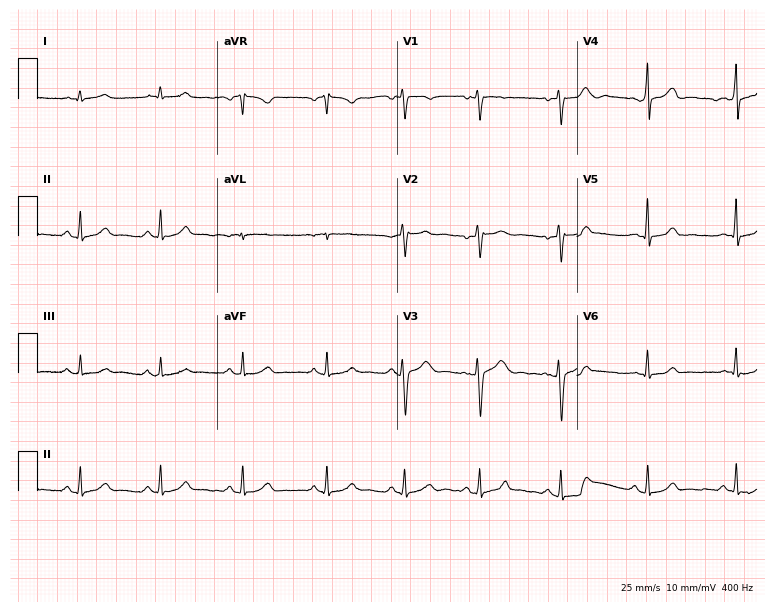
12-lead ECG from a 31-year-old female patient (7.3-second recording at 400 Hz). Recorded interpretation: within normal limits.